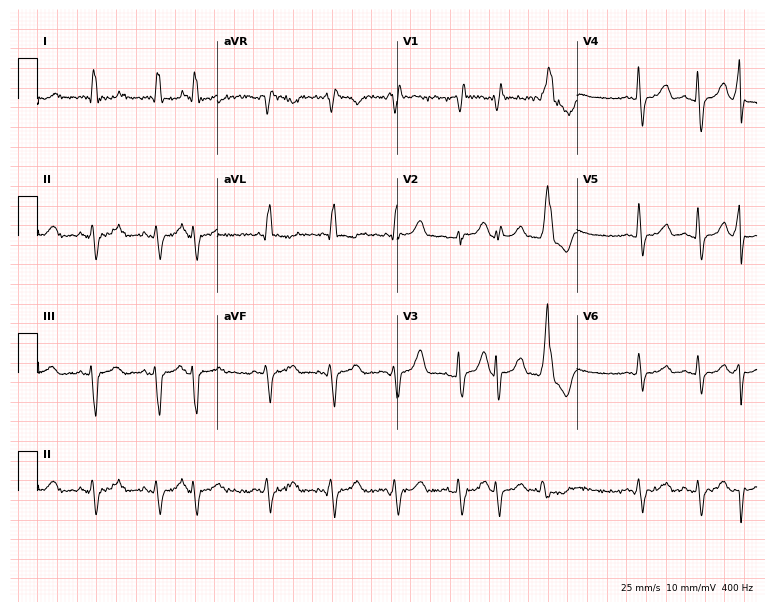
12-lead ECG from an 82-year-old female patient. No first-degree AV block, right bundle branch block, left bundle branch block, sinus bradycardia, atrial fibrillation or sinus tachycardia recorded for this tracing.